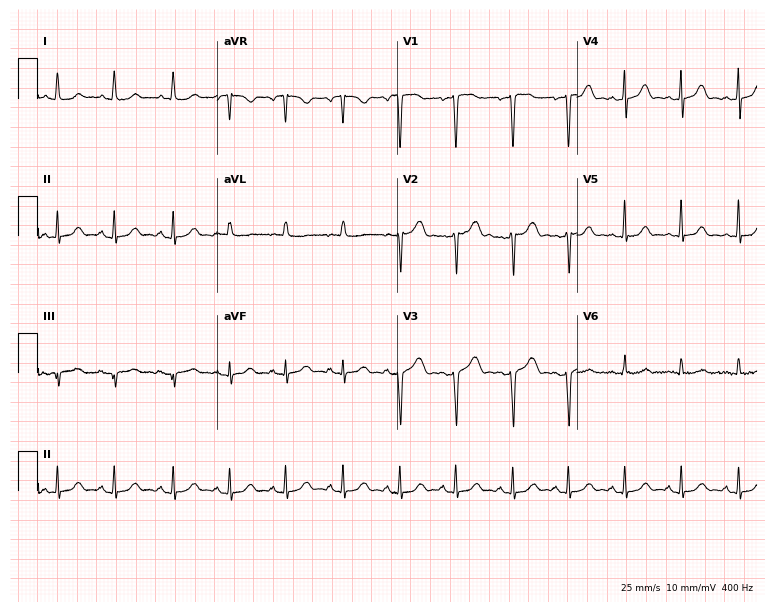
12-lead ECG (7.3-second recording at 400 Hz) from a female, 46 years old. Labelled as a normal ECG.